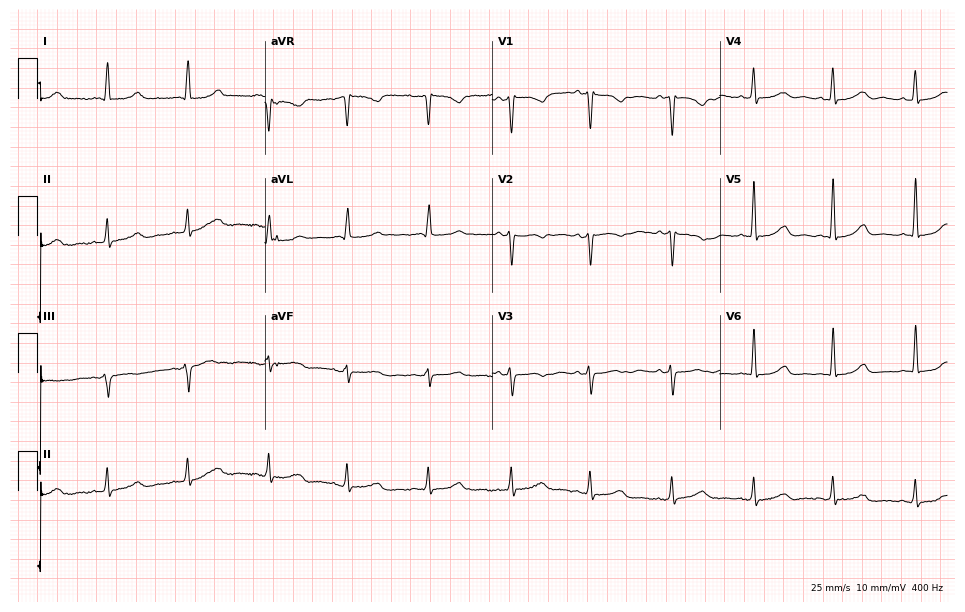
Standard 12-lead ECG recorded from a 64-year-old female (9.3-second recording at 400 Hz). Read as a normal ECG.